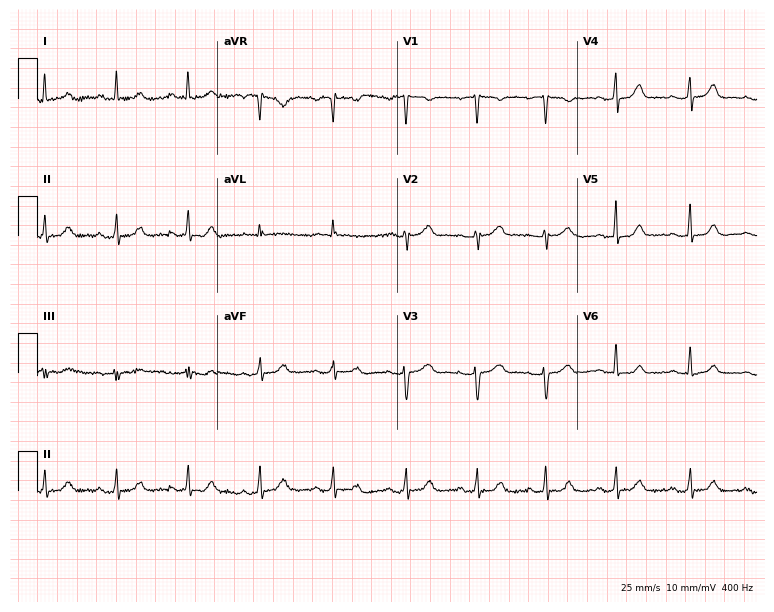
Resting 12-lead electrocardiogram (7.3-second recording at 400 Hz). Patient: a 63-year-old female. Read as a normal ECG.